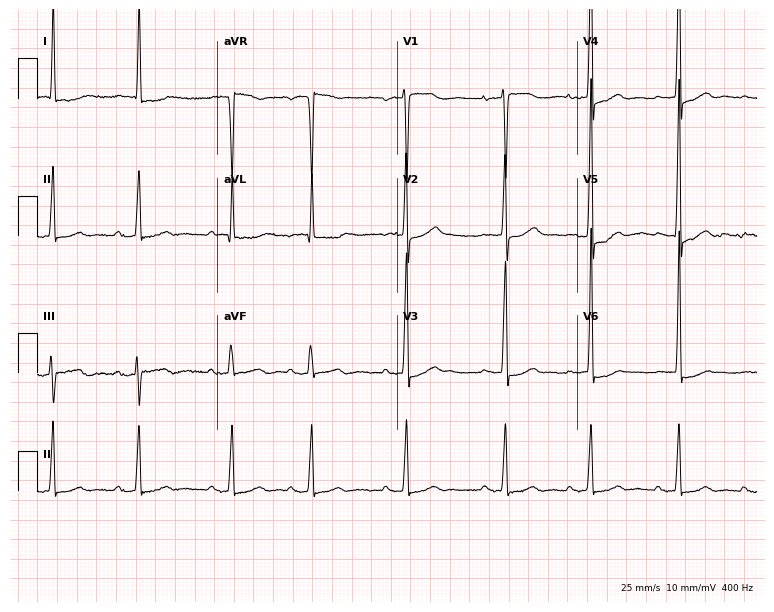
Standard 12-lead ECG recorded from a female, 81 years old. None of these six findings is recorded: first-degree AV block, right bundle branch block, left bundle branch block, sinus bradycardia, atrial fibrillation, sinus tachycardia. Findings outside these six are not listed.